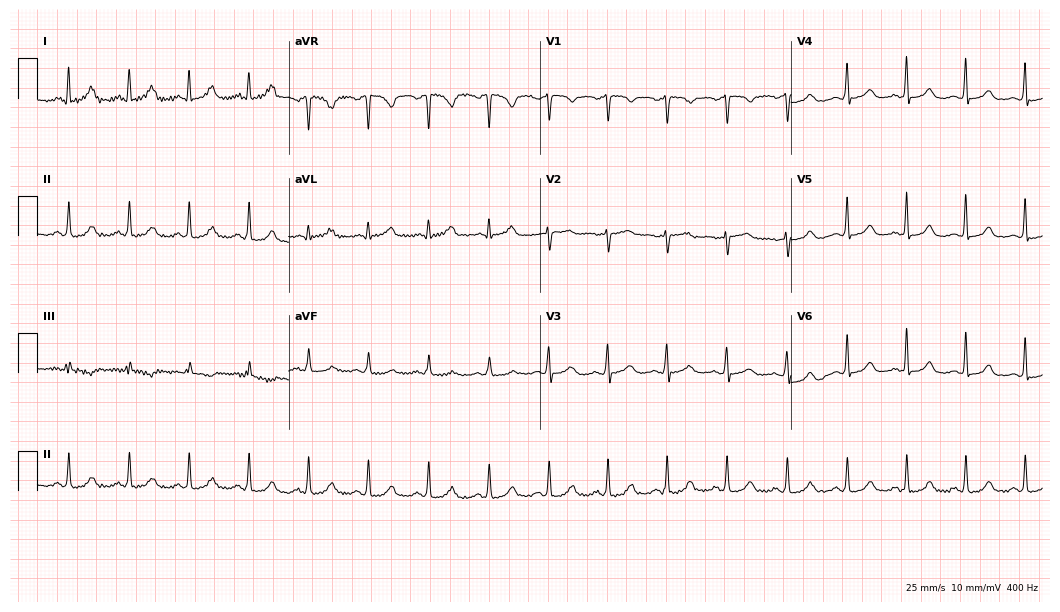
12-lead ECG from a 36-year-old woman. Labelled as a normal ECG.